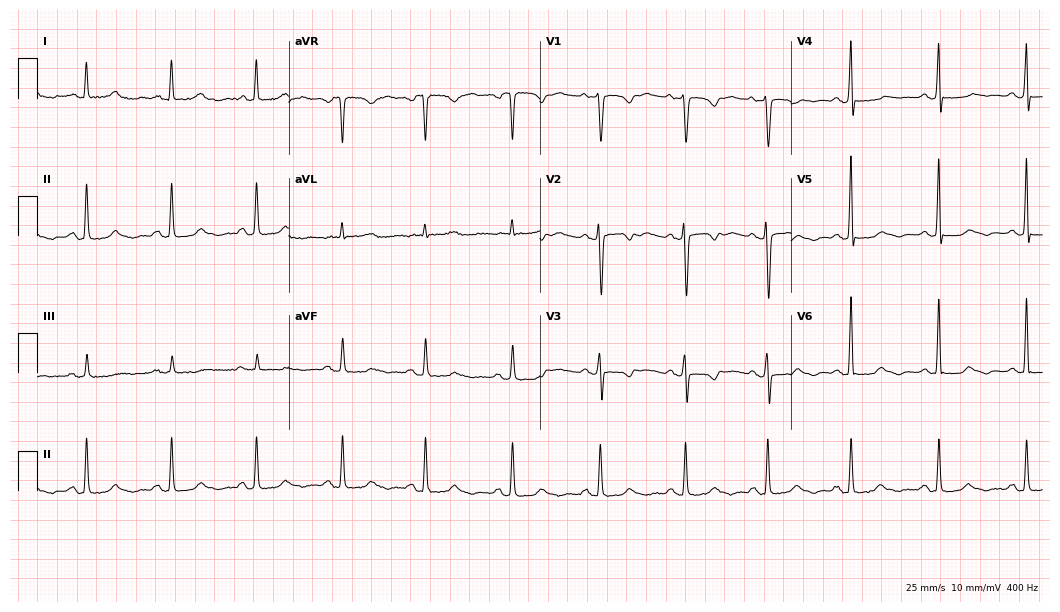
Resting 12-lead electrocardiogram (10.2-second recording at 400 Hz). Patient: a 73-year-old female. None of these six findings is recorded: first-degree AV block, right bundle branch block, left bundle branch block, sinus bradycardia, atrial fibrillation, sinus tachycardia.